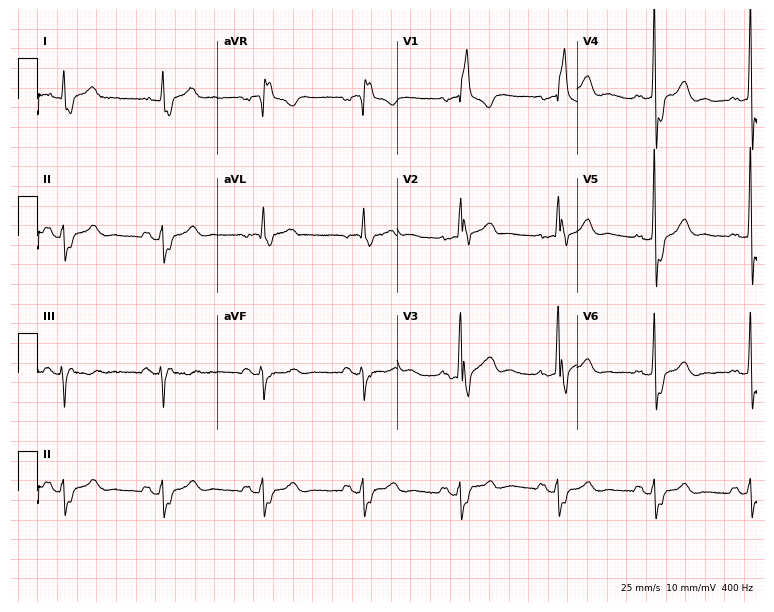
Electrocardiogram, a 54-year-old man. Interpretation includes right bundle branch block.